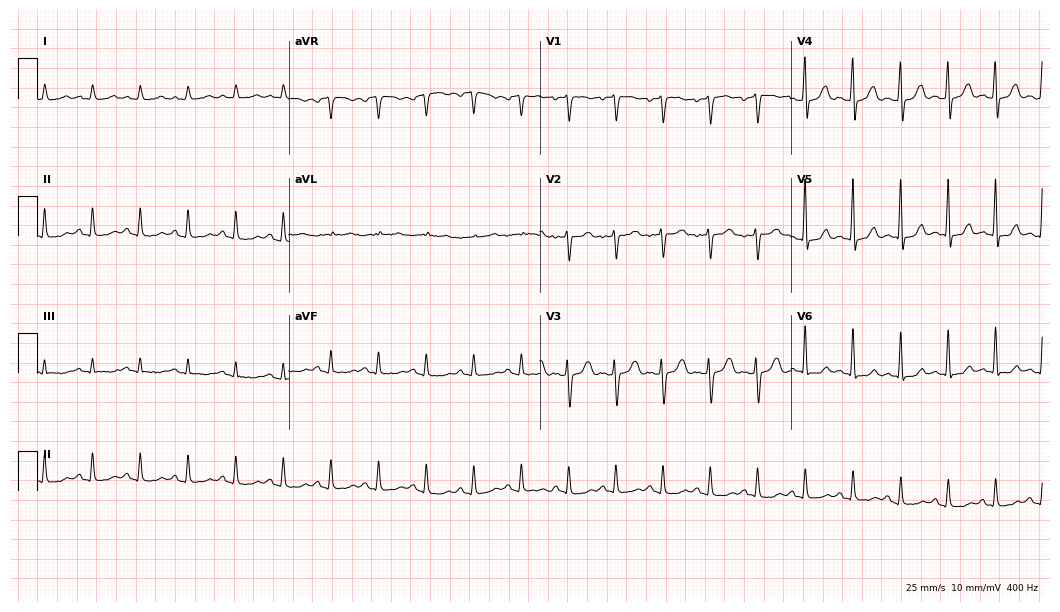
12-lead ECG from a female, 37 years old (10.2-second recording at 400 Hz). Shows sinus tachycardia (a sinus rate of 100 beats per minute or more).